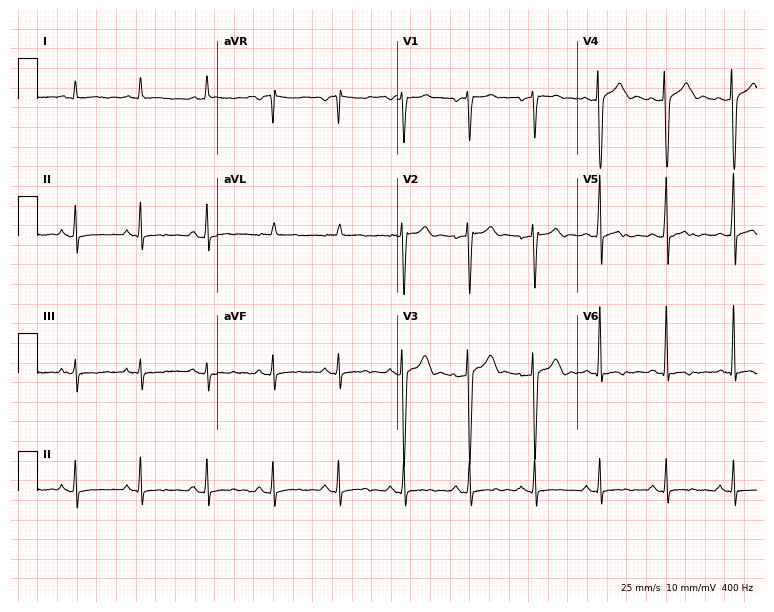
12-lead ECG from a man, 44 years old (7.3-second recording at 400 Hz). No first-degree AV block, right bundle branch block (RBBB), left bundle branch block (LBBB), sinus bradycardia, atrial fibrillation (AF) or sinus tachycardia recorded for this tracing.